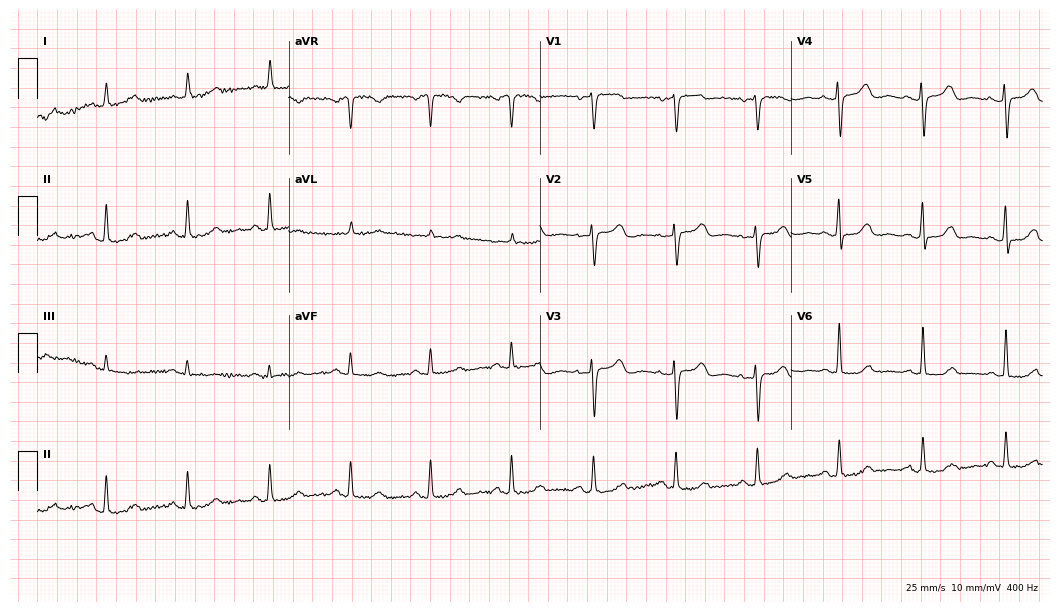
Electrocardiogram (10.2-second recording at 400 Hz), a female, 65 years old. Overall reading on record: normal ECG.